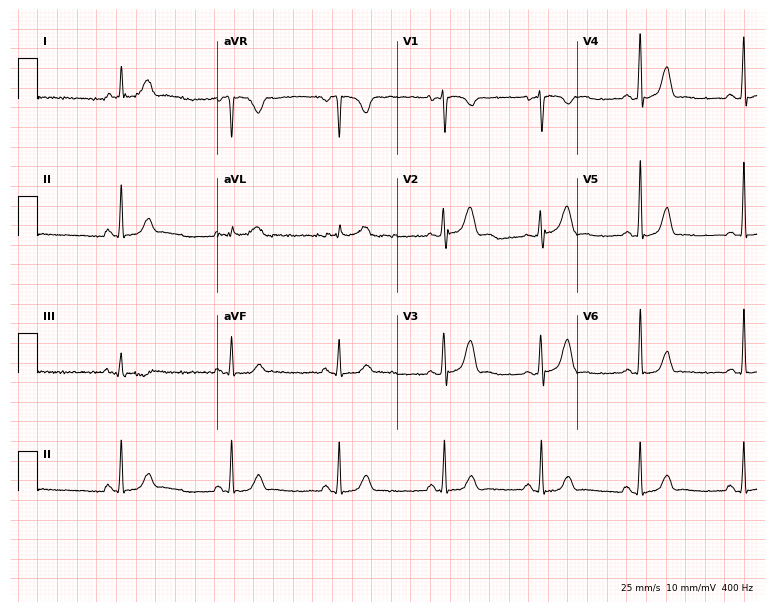
Electrocardiogram, a female, 48 years old. Of the six screened findings (first-degree AV block, right bundle branch block, left bundle branch block, sinus bradycardia, atrial fibrillation, sinus tachycardia), none is recorded.